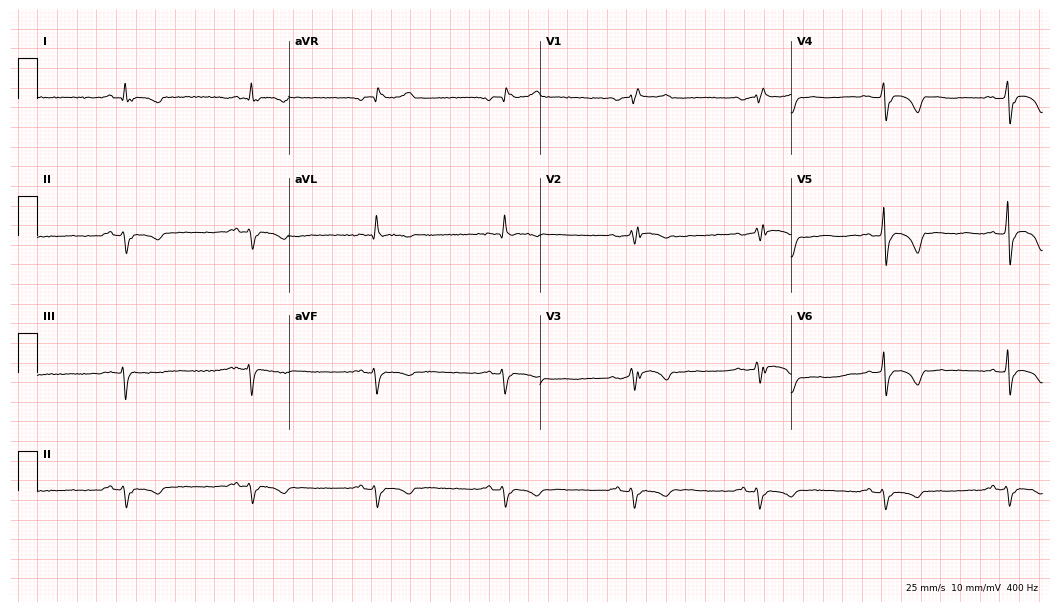
12-lead ECG from a man, 52 years old (10.2-second recording at 400 Hz). Shows right bundle branch block (RBBB), sinus bradycardia (a sinus rate of 50 beats per minute or less).